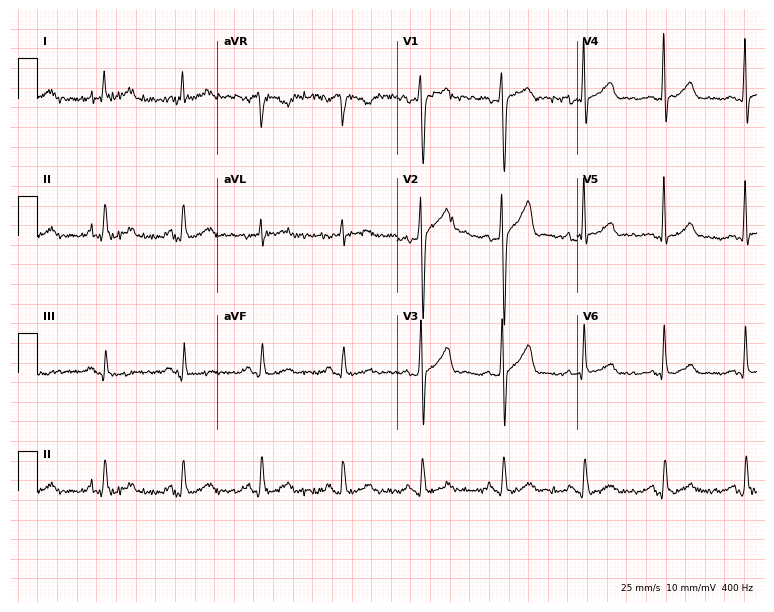
12-lead ECG from a male patient, 35 years old (7.3-second recording at 400 Hz). Recorded interpretation: within normal limits.